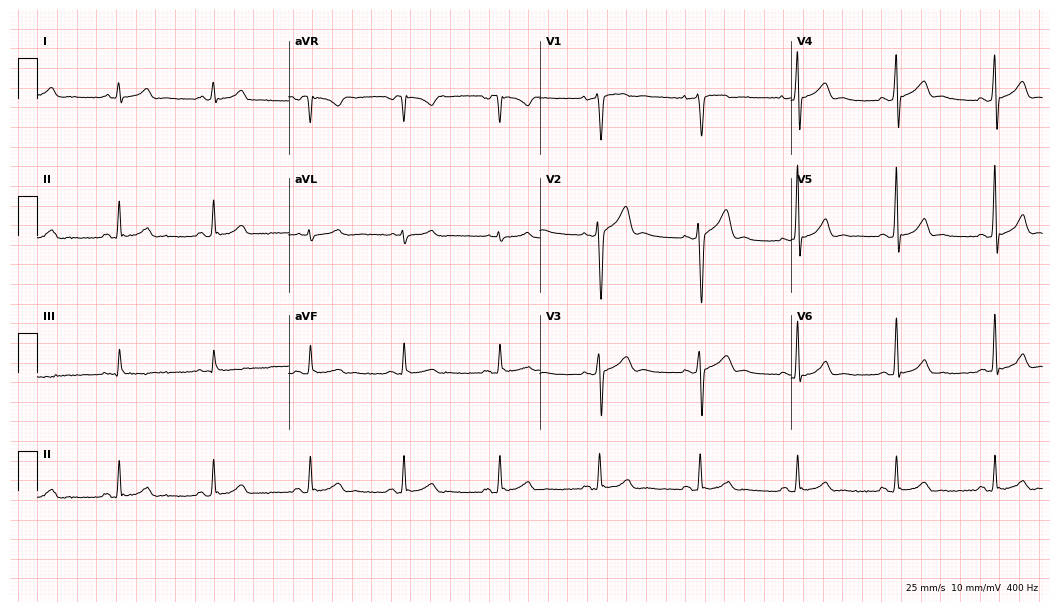
Standard 12-lead ECG recorded from a 46-year-old male. None of these six findings is recorded: first-degree AV block, right bundle branch block (RBBB), left bundle branch block (LBBB), sinus bradycardia, atrial fibrillation (AF), sinus tachycardia. Other findings, if any, are not listed.